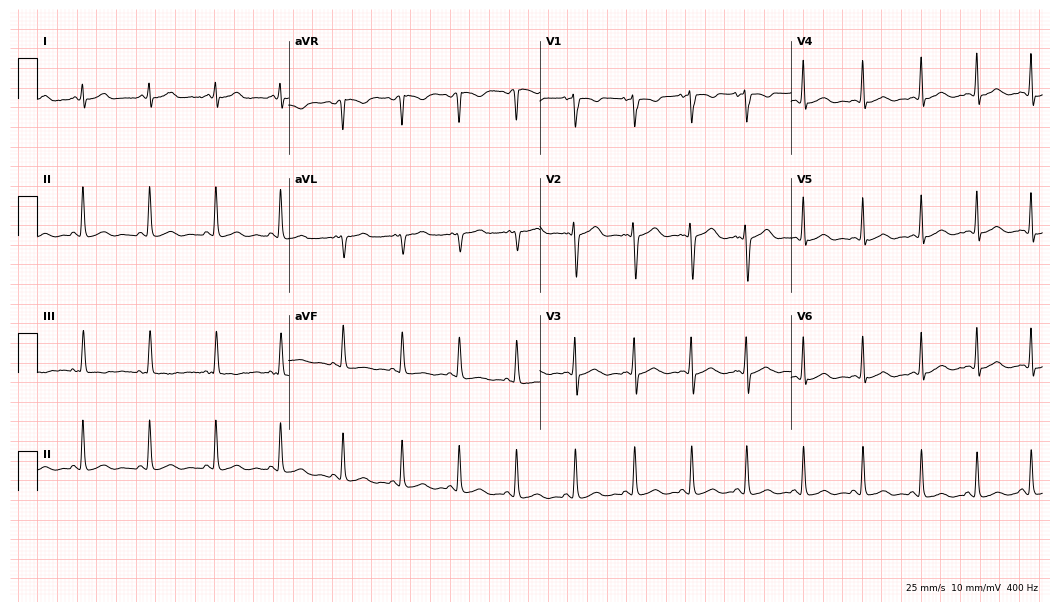
12-lead ECG from a 20-year-old woman. Screened for six findings — first-degree AV block, right bundle branch block, left bundle branch block, sinus bradycardia, atrial fibrillation, sinus tachycardia — none is recorded. Findings outside these six are not listed.